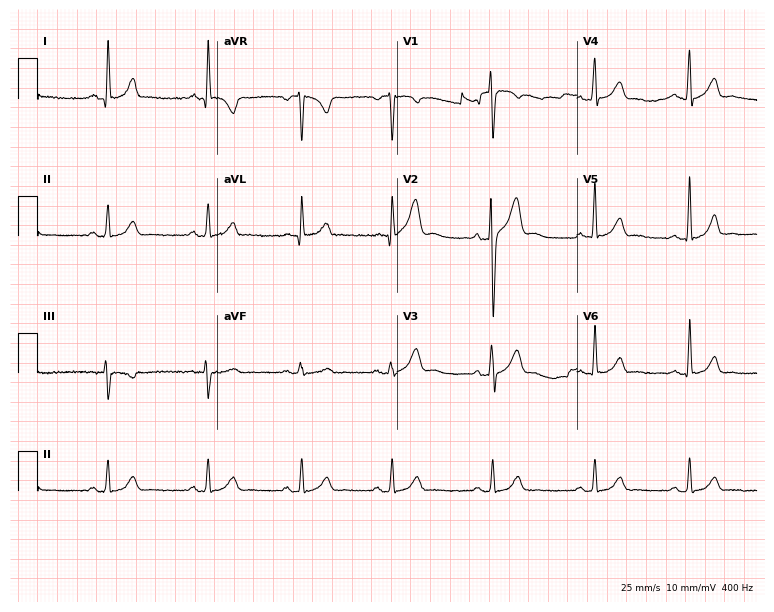
ECG — a male patient, 29 years old. Screened for six findings — first-degree AV block, right bundle branch block (RBBB), left bundle branch block (LBBB), sinus bradycardia, atrial fibrillation (AF), sinus tachycardia — none is recorded. Other findings, if any, are not listed.